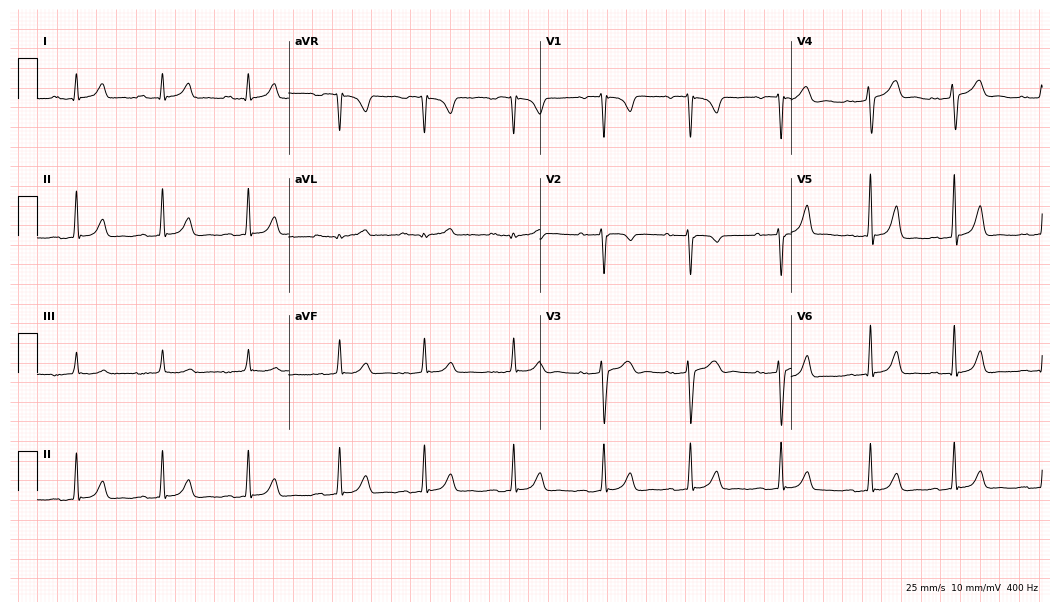
12-lead ECG from a 22-year-old woman. Findings include first-degree AV block.